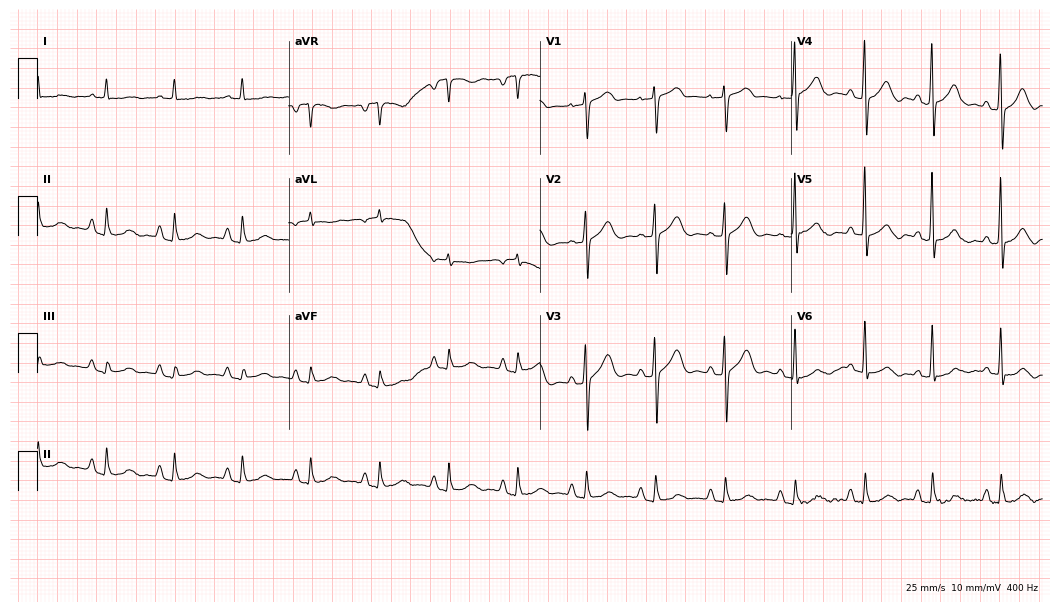
Standard 12-lead ECG recorded from a female, 85 years old. None of these six findings is recorded: first-degree AV block, right bundle branch block, left bundle branch block, sinus bradycardia, atrial fibrillation, sinus tachycardia.